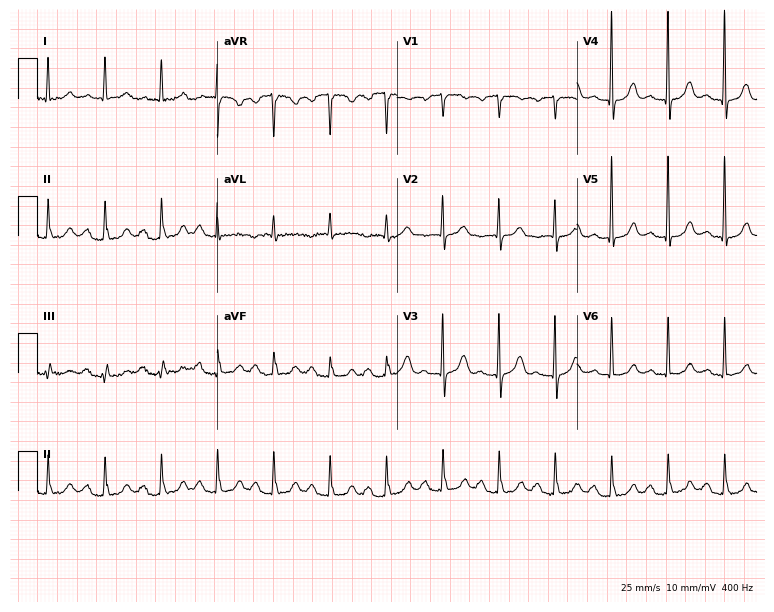
ECG — a 79-year-old female patient. Findings include first-degree AV block, sinus tachycardia (a sinus rate of 100 beats per minute or more).